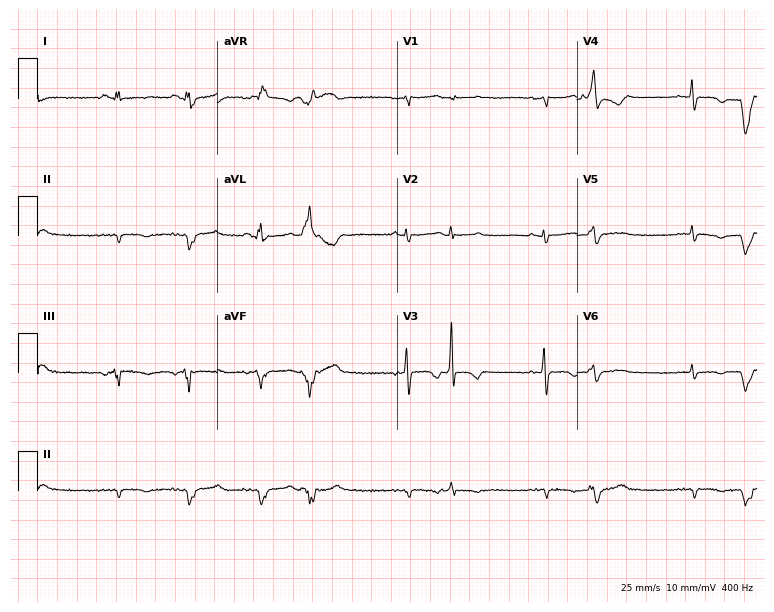
12-lead ECG from a female patient, 52 years old. Screened for six findings — first-degree AV block, right bundle branch block, left bundle branch block, sinus bradycardia, atrial fibrillation, sinus tachycardia — none is recorded. Findings outside these six are not listed.